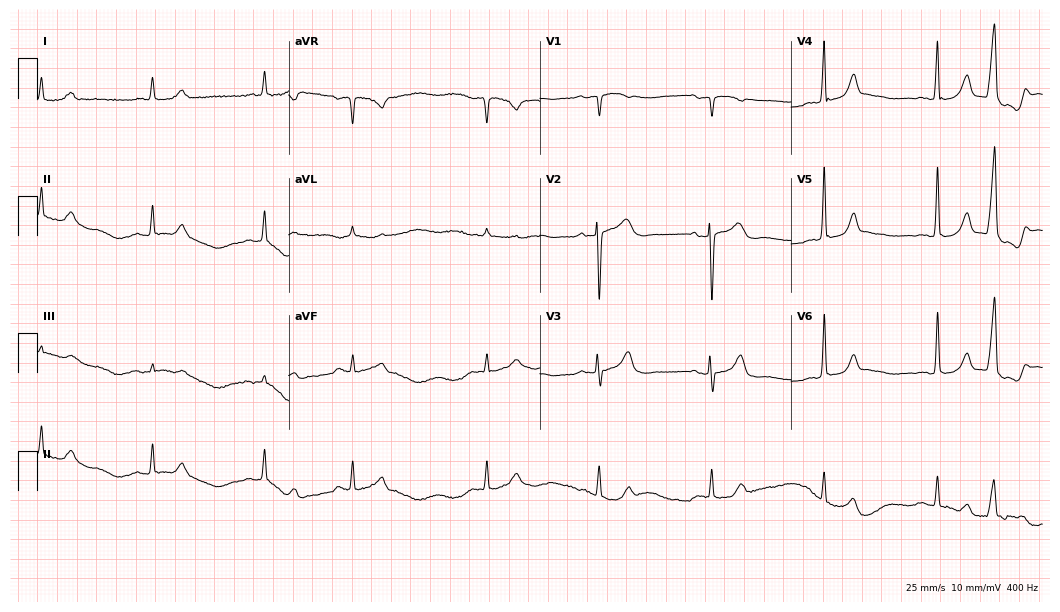
Standard 12-lead ECG recorded from a female patient, 85 years old (10.2-second recording at 400 Hz). None of these six findings is recorded: first-degree AV block, right bundle branch block, left bundle branch block, sinus bradycardia, atrial fibrillation, sinus tachycardia. Only these six findings were labelled.